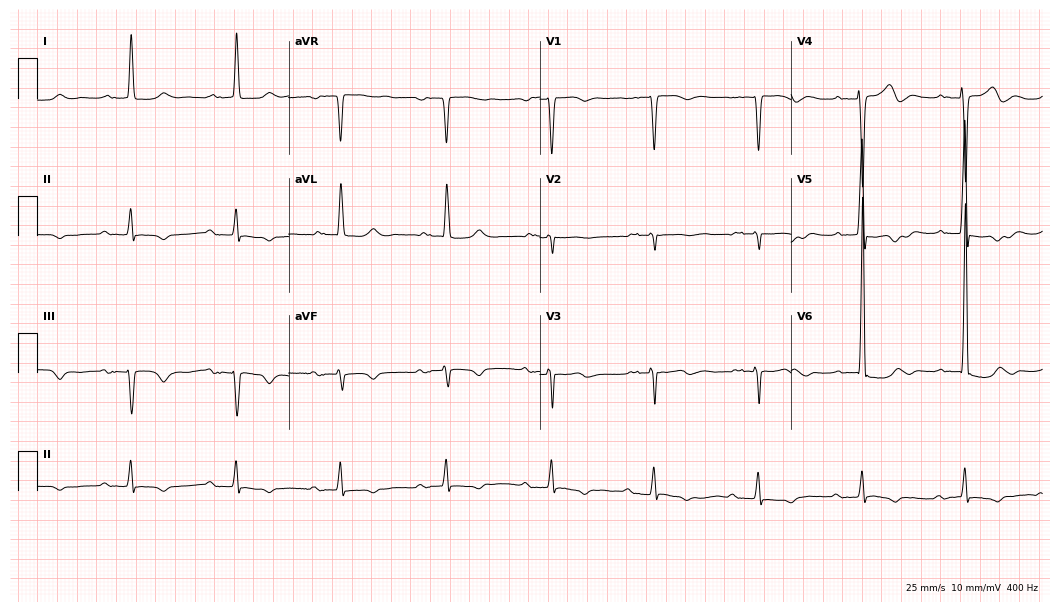
Electrocardiogram (10.2-second recording at 400 Hz), a man, 71 years old. Interpretation includes first-degree AV block.